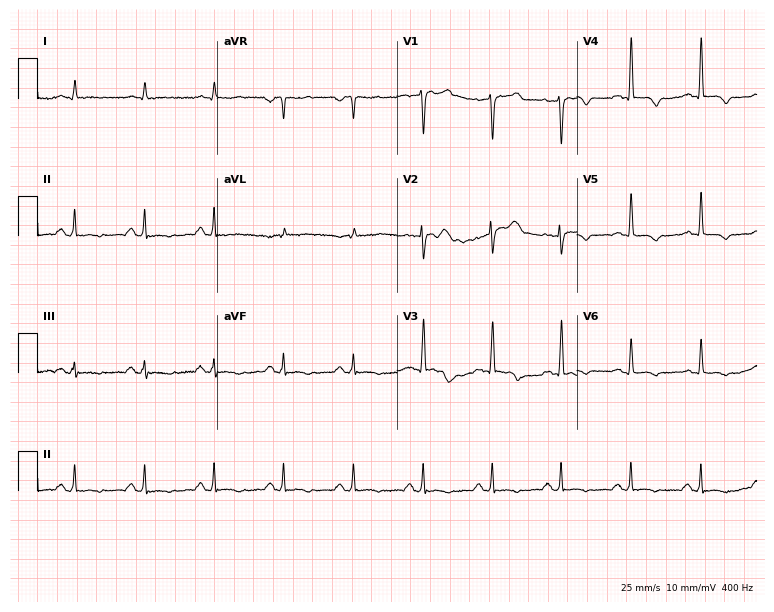
12-lead ECG from a 57-year-old man (7.3-second recording at 400 Hz). Recorded interpretation: within normal limits.